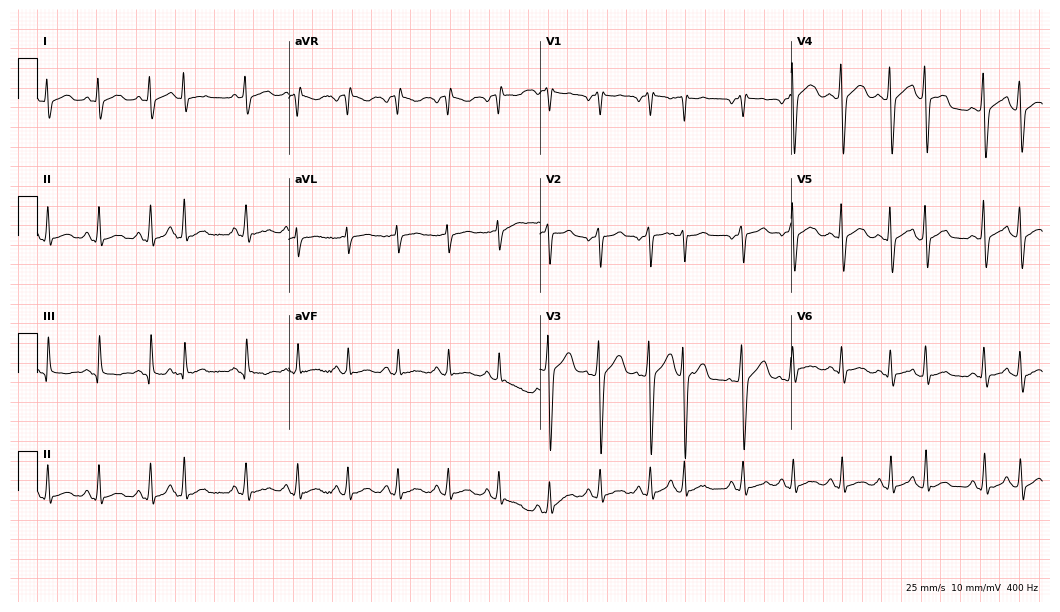
Standard 12-lead ECG recorded from a man, 47 years old. The tracing shows sinus tachycardia (a sinus rate of 100 beats per minute or more).